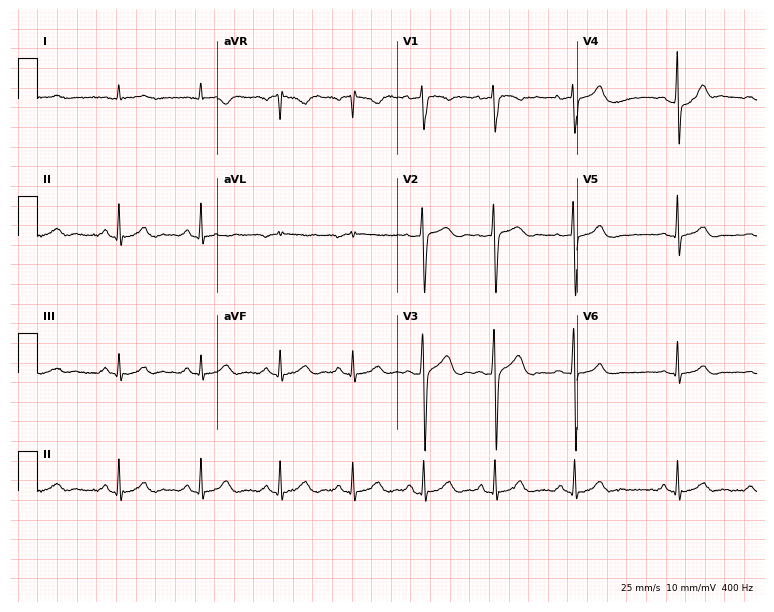
Electrocardiogram, a 30-year-old male patient. Overall reading on record: normal ECG.